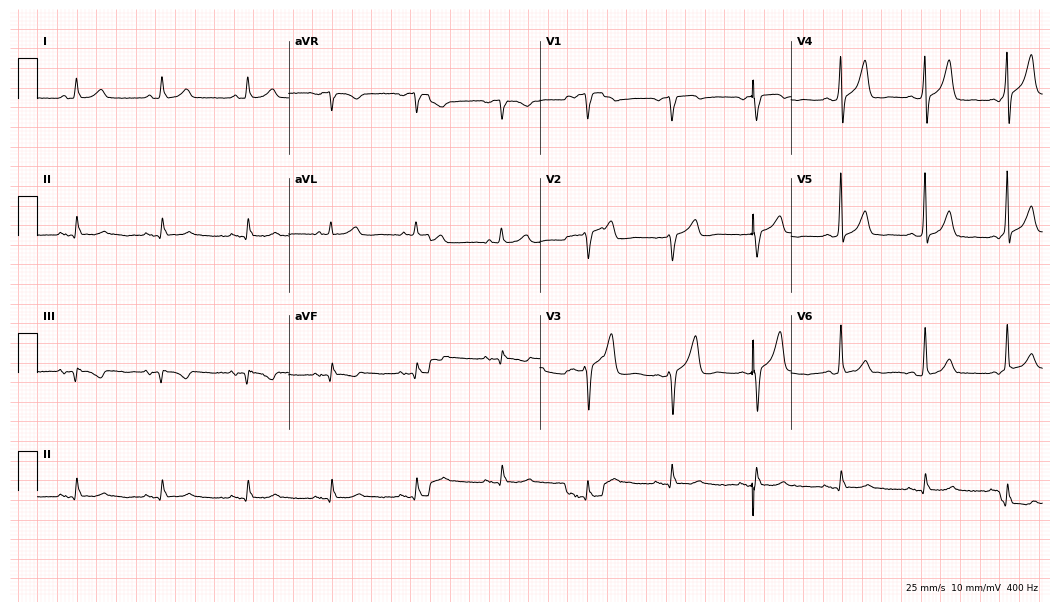
Resting 12-lead electrocardiogram. Patient: a 74-year-old female. None of these six findings is recorded: first-degree AV block, right bundle branch block, left bundle branch block, sinus bradycardia, atrial fibrillation, sinus tachycardia. Findings outside these six are not listed.